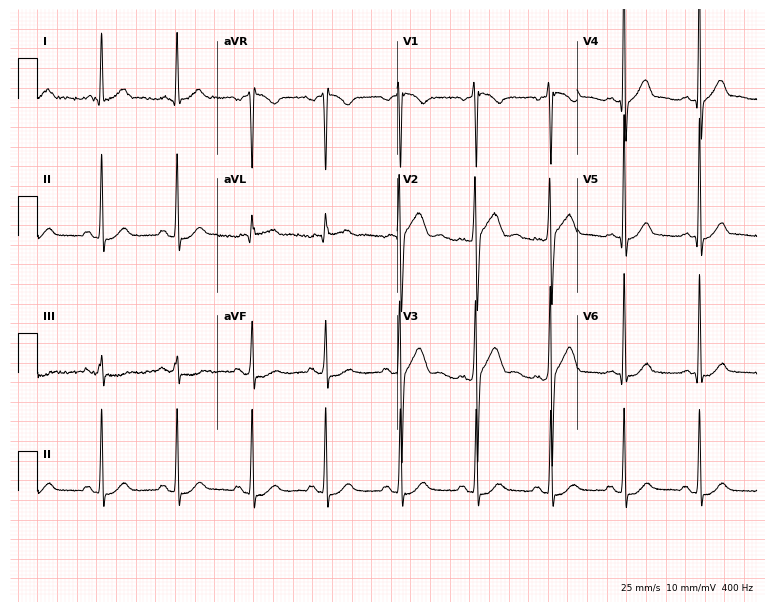
Resting 12-lead electrocardiogram. Patient: a male, 32 years old. Read as a normal ECG.